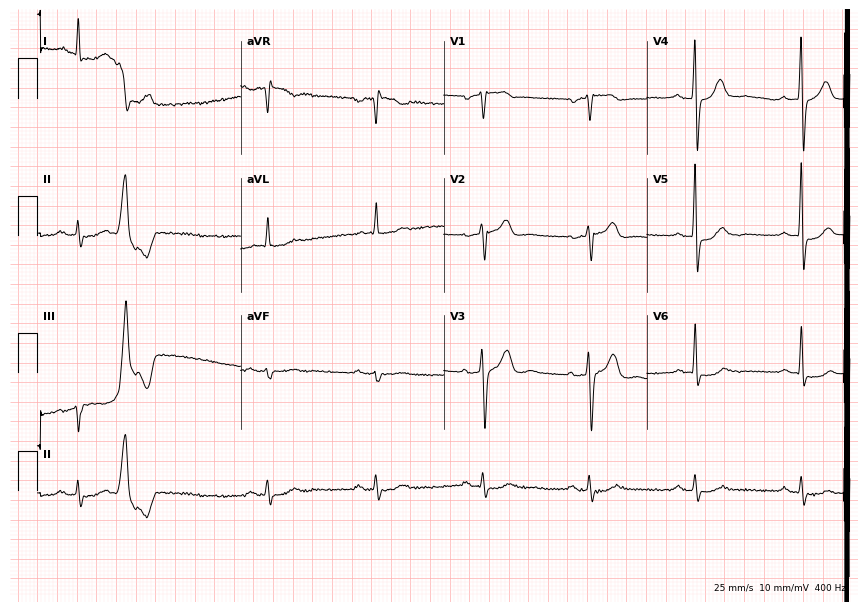
ECG — a male, 79 years old. Screened for six findings — first-degree AV block, right bundle branch block, left bundle branch block, sinus bradycardia, atrial fibrillation, sinus tachycardia — none is recorded.